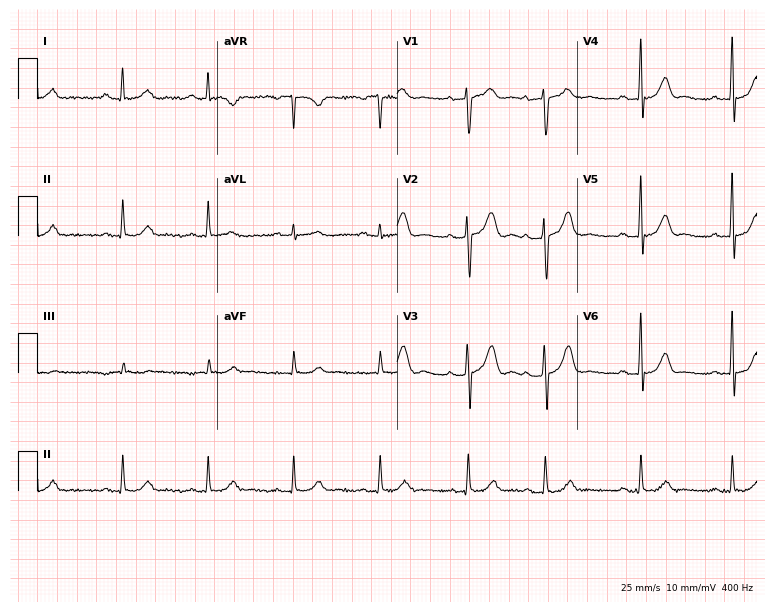
Resting 12-lead electrocardiogram. Patient: a male, 68 years old. Read as a normal ECG.